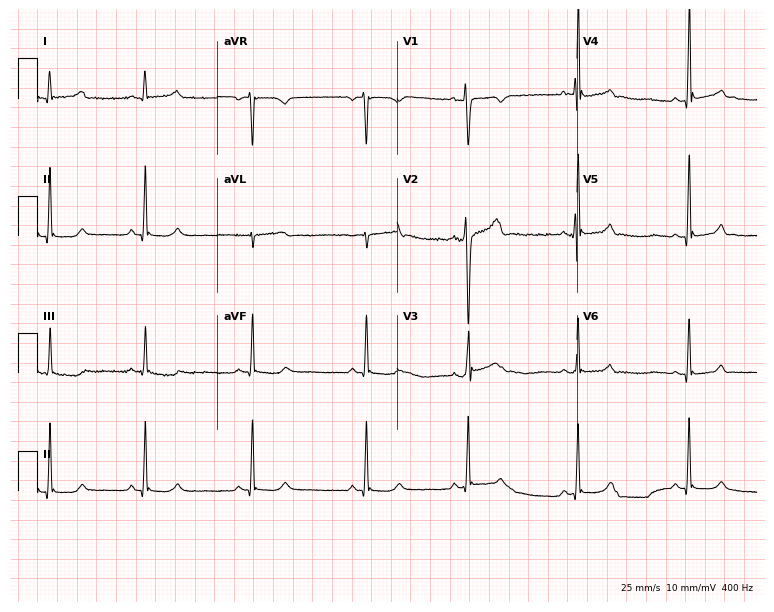
Electrocardiogram (7.3-second recording at 400 Hz), a male patient, 20 years old. Of the six screened findings (first-degree AV block, right bundle branch block (RBBB), left bundle branch block (LBBB), sinus bradycardia, atrial fibrillation (AF), sinus tachycardia), none is recorded. Other findings, if any, are not listed.